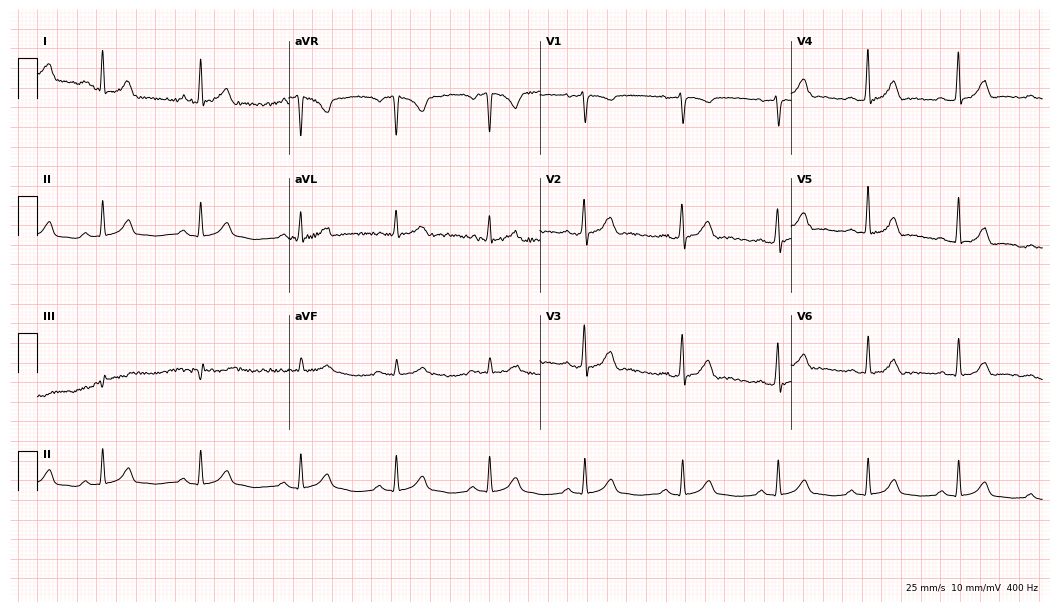
ECG (10.2-second recording at 400 Hz) — a female patient, 23 years old. Labelled as a normal ECG.